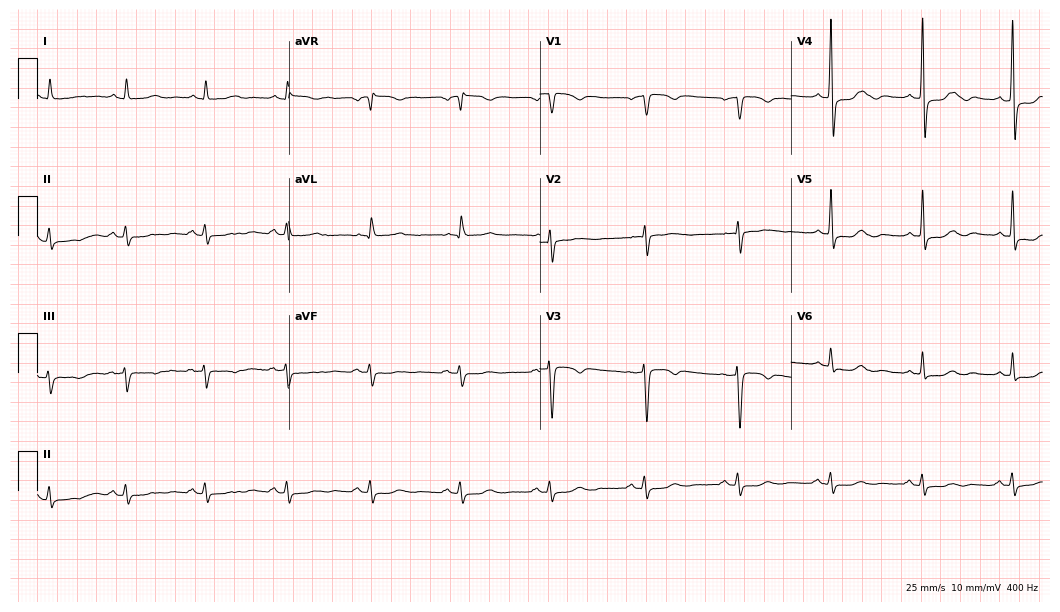
ECG (10.2-second recording at 400 Hz) — a 60-year-old woman. Screened for six findings — first-degree AV block, right bundle branch block, left bundle branch block, sinus bradycardia, atrial fibrillation, sinus tachycardia — none is recorded.